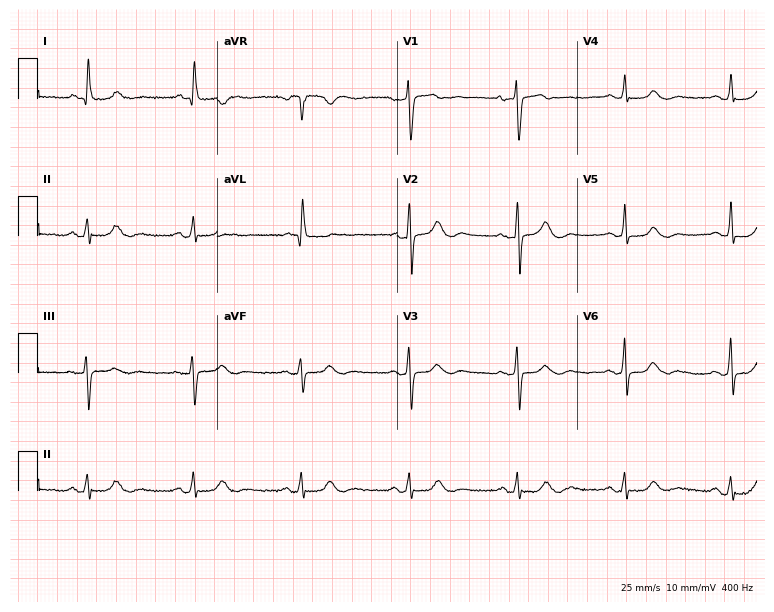
ECG — an 85-year-old female. Screened for six findings — first-degree AV block, right bundle branch block (RBBB), left bundle branch block (LBBB), sinus bradycardia, atrial fibrillation (AF), sinus tachycardia — none is recorded.